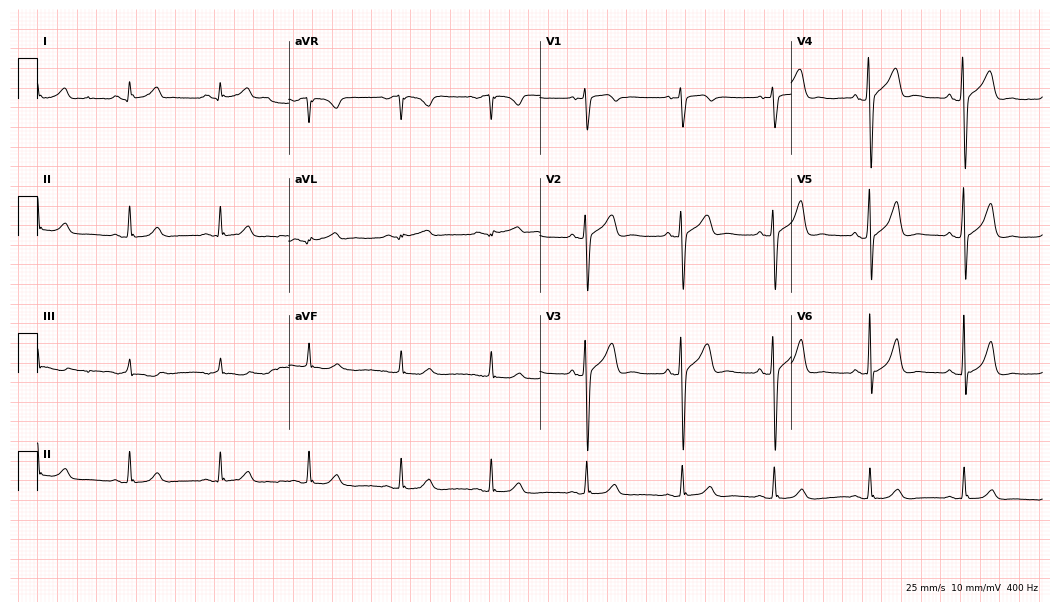
Resting 12-lead electrocardiogram (10.2-second recording at 400 Hz). Patient: a 64-year-old man. None of these six findings is recorded: first-degree AV block, right bundle branch block (RBBB), left bundle branch block (LBBB), sinus bradycardia, atrial fibrillation (AF), sinus tachycardia. Other findings, if any, are not listed.